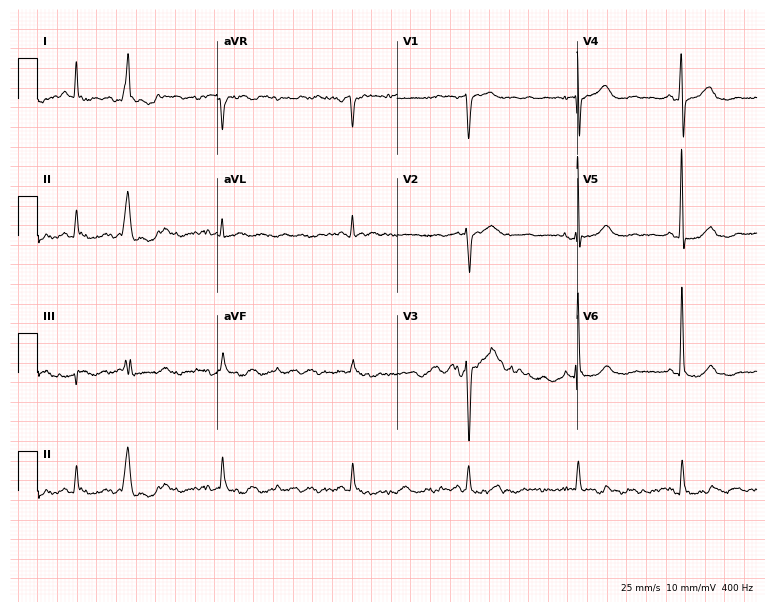
12-lead ECG from a 75-year-old male patient. Screened for six findings — first-degree AV block, right bundle branch block, left bundle branch block, sinus bradycardia, atrial fibrillation, sinus tachycardia — none is recorded.